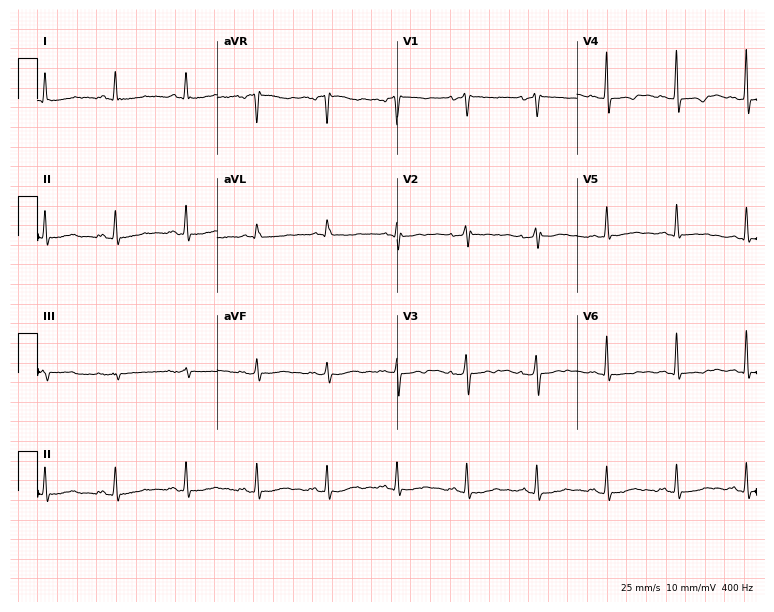
Electrocardiogram (7.3-second recording at 400 Hz), a 62-year-old female. Of the six screened findings (first-degree AV block, right bundle branch block, left bundle branch block, sinus bradycardia, atrial fibrillation, sinus tachycardia), none is recorded. Other findings, if any, are not listed.